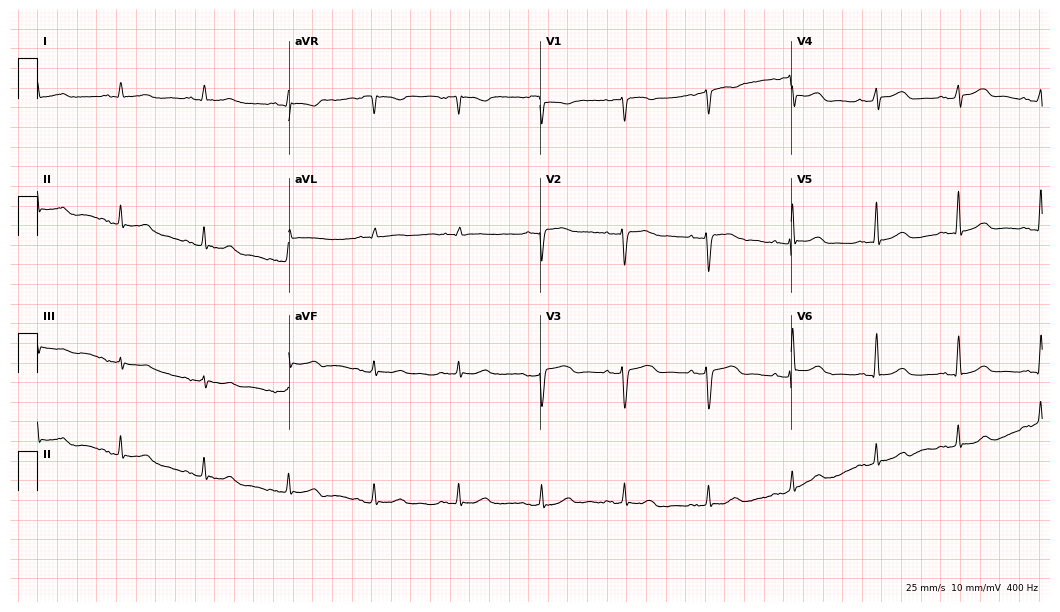
Standard 12-lead ECG recorded from a 59-year-old female patient (10.2-second recording at 400 Hz). None of these six findings is recorded: first-degree AV block, right bundle branch block, left bundle branch block, sinus bradycardia, atrial fibrillation, sinus tachycardia. Findings outside these six are not listed.